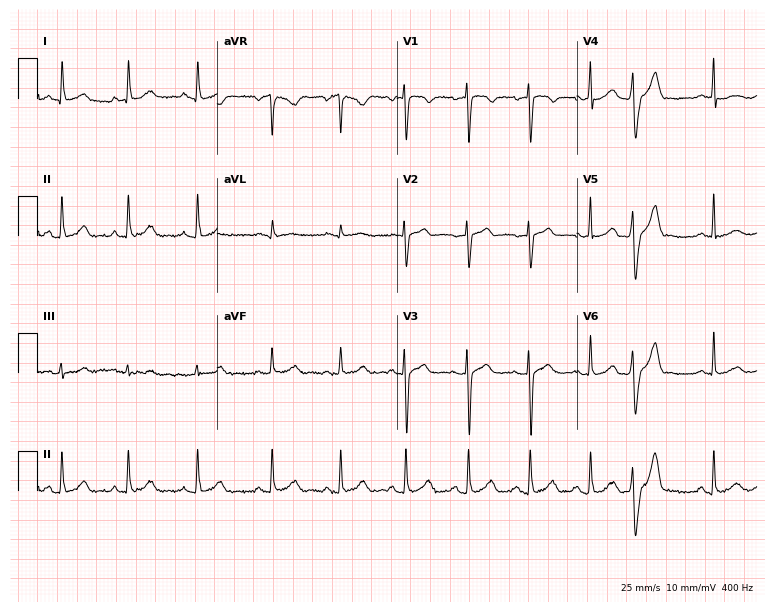
12-lead ECG from a 25-year-old woman (7.3-second recording at 400 Hz). No first-degree AV block, right bundle branch block, left bundle branch block, sinus bradycardia, atrial fibrillation or sinus tachycardia recorded for this tracing. Other findings, if any, are not listed.